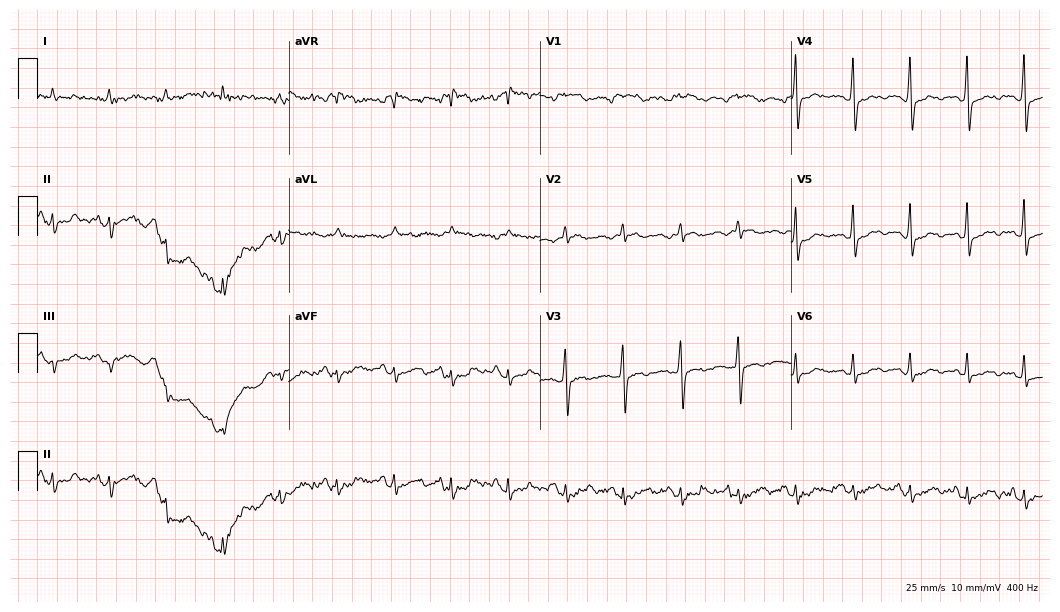
12-lead ECG from a 73-year-old male patient. No first-degree AV block, right bundle branch block, left bundle branch block, sinus bradycardia, atrial fibrillation or sinus tachycardia recorded for this tracing.